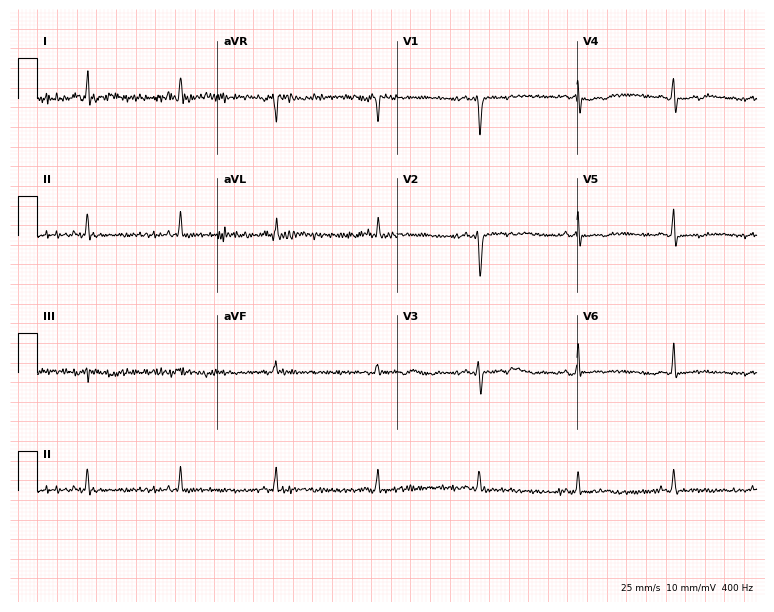
12-lead ECG from a female, 30 years old. No first-degree AV block, right bundle branch block (RBBB), left bundle branch block (LBBB), sinus bradycardia, atrial fibrillation (AF) or sinus tachycardia recorded for this tracing. Findings outside these six are not listed.